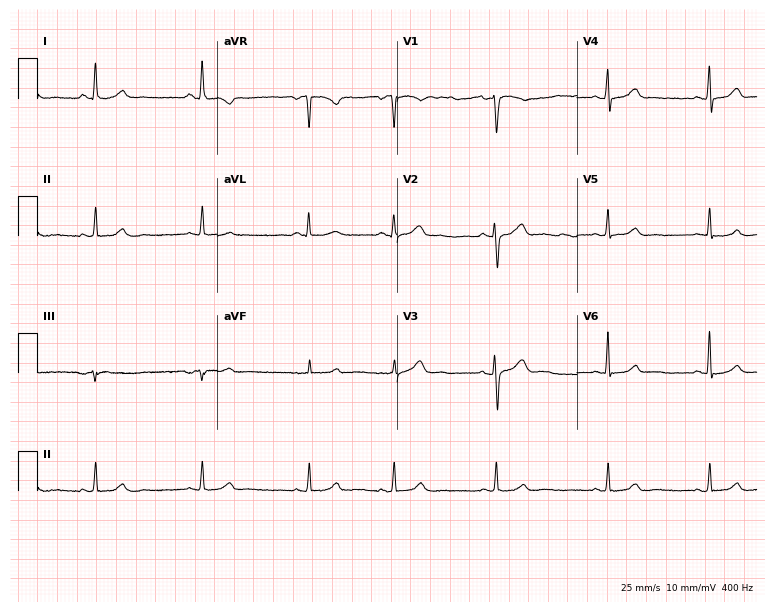
Resting 12-lead electrocardiogram (7.3-second recording at 400 Hz). Patient: a 39-year-old woman. Read as a normal ECG.